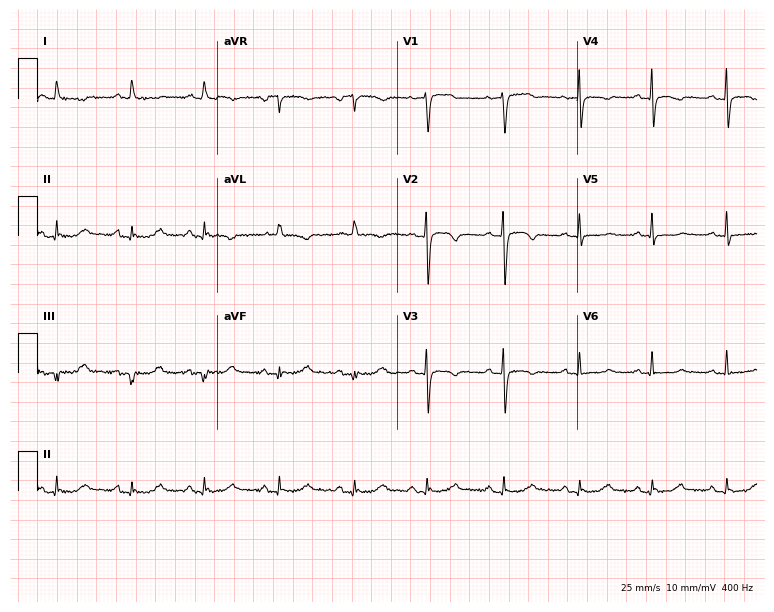
12-lead ECG from a woman, 81 years old. Labelled as a normal ECG.